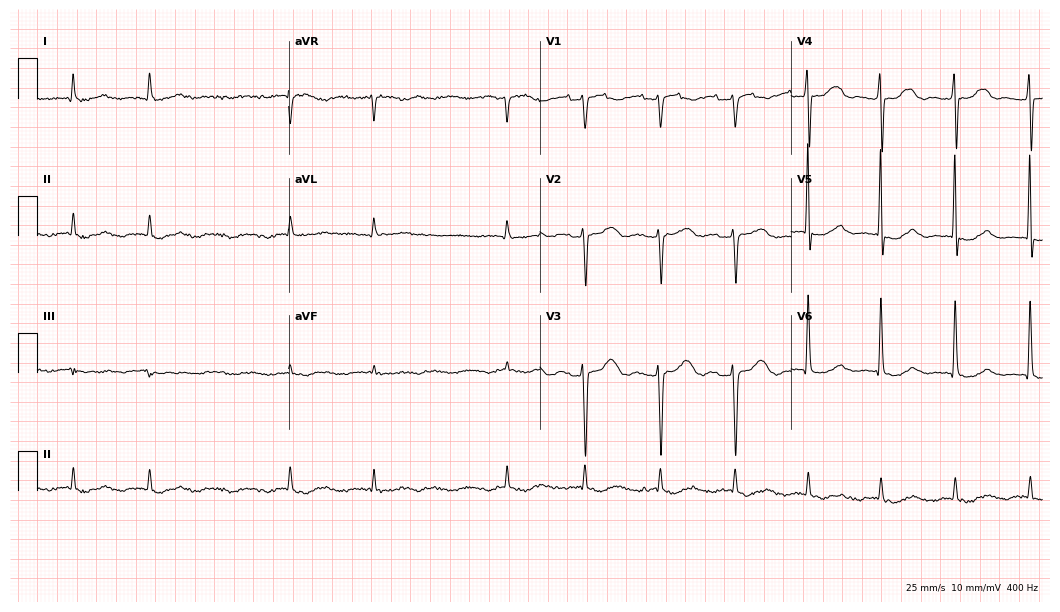
12-lead ECG from an 81-year-old man. Findings include atrial fibrillation.